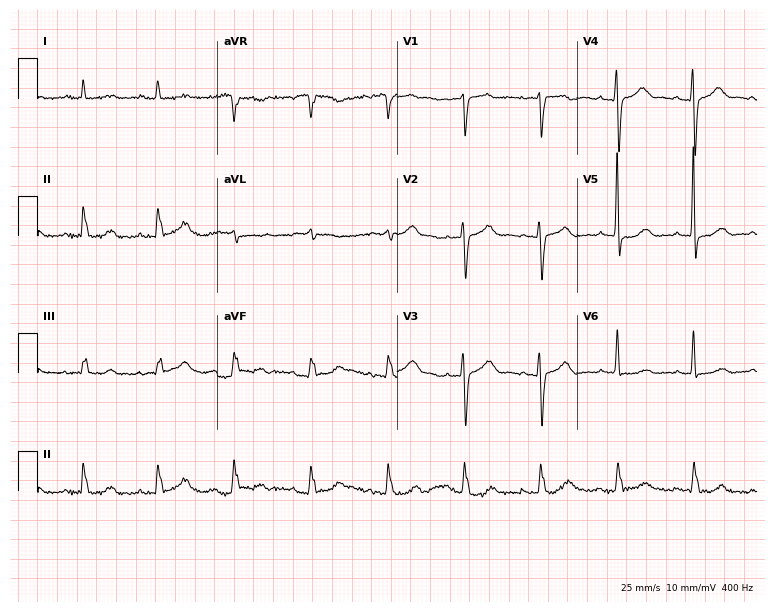
Resting 12-lead electrocardiogram (7.3-second recording at 400 Hz). Patient: a female, 85 years old. Read as a normal ECG.